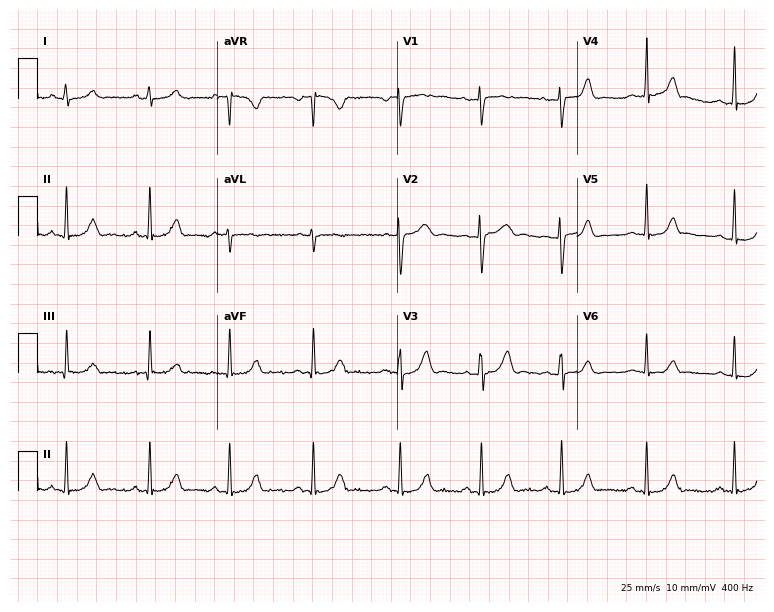
12-lead ECG from a 26-year-old female. Recorded interpretation: within normal limits.